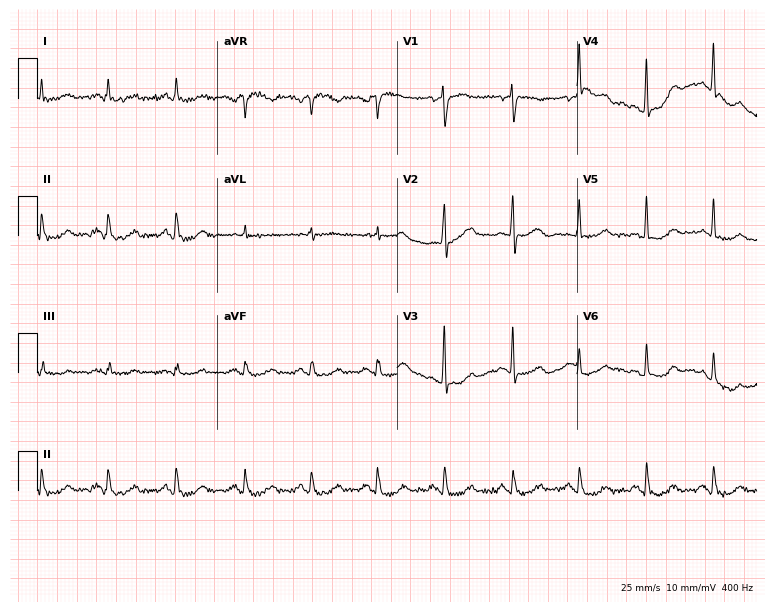
Resting 12-lead electrocardiogram. Patient: a woman, 77 years old. None of these six findings is recorded: first-degree AV block, right bundle branch block, left bundle branch block, sinus bradycardia, atrial fibrillation, sinus tachycardia. Only these six findings were labelled.